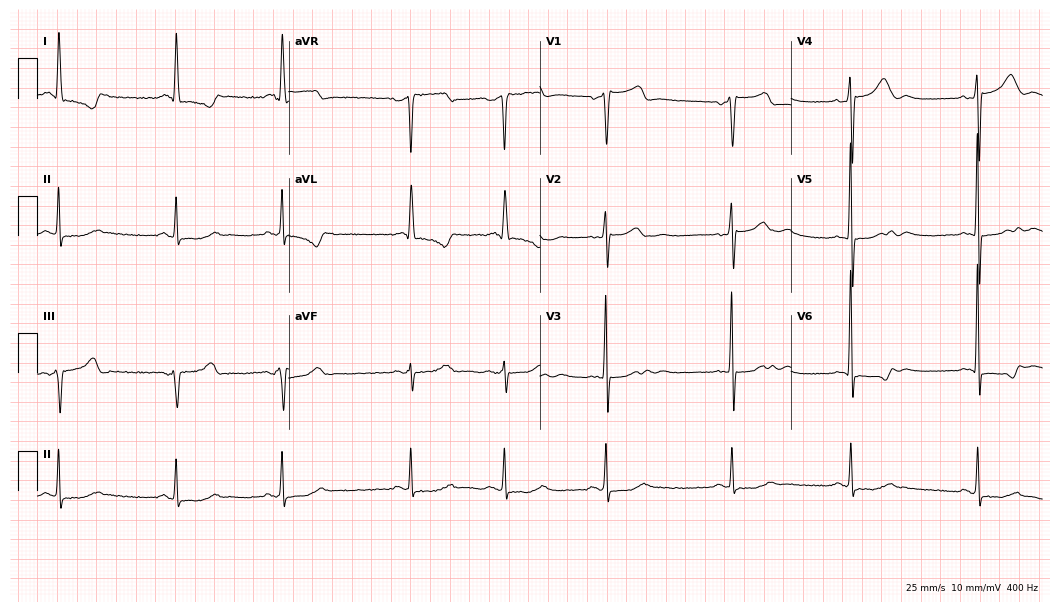
ECG — a 54-year-old woman. Screened for six findings — first-degree AV block, right bundle branch block, left bundle branch block, sinus bradycardia, atrial fibrillation, sinus tachycardia — none is recorded. Other findings, if any, are not listed.